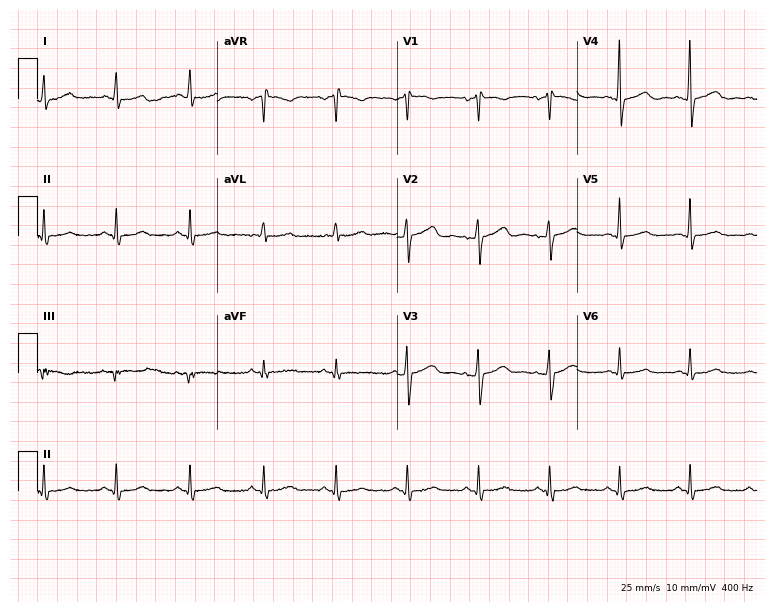
Resting 12-lead electrocardiogram (7.3-second recording at 400 Hz). Patient: a female, 67 years old. None of these six findings is recorded: first-degree AV block, right bundle branch block, left bundle branch block, sinus bradycardia, atrial fibrillation, sinus tachycardia. Findings outside these six are not listed.